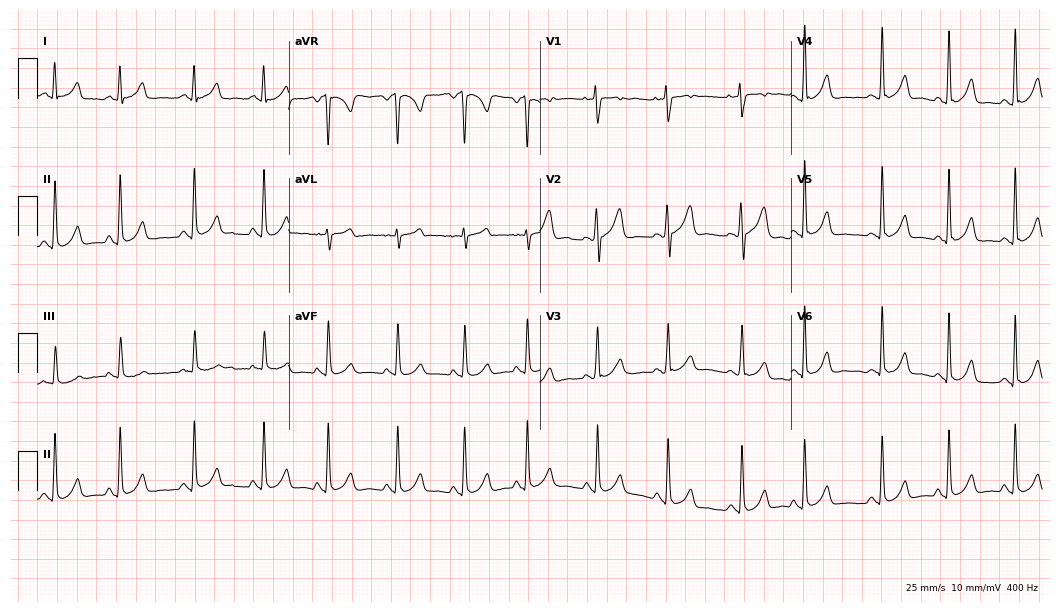
Electrocardiogram (10.2-second recording at 400 Hz), a female patient, 17 years old. Of the six screened findings (first-degree AV block, right bundle branch block, left bundle branch block, sinus bradycardia, atrial fibrillation, sinus tachycardia), none is recorded. Findings outside these six are not listed.